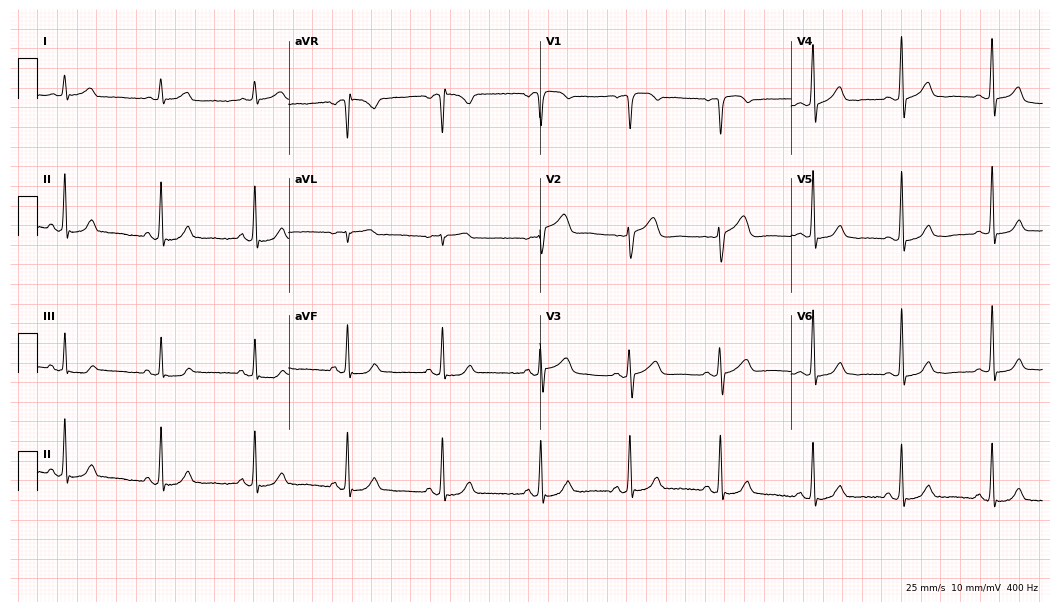
12-lead ECG (10.2-second recording at 400 Hz) from a woman, 57 years old. Labelled as a normal ECG.